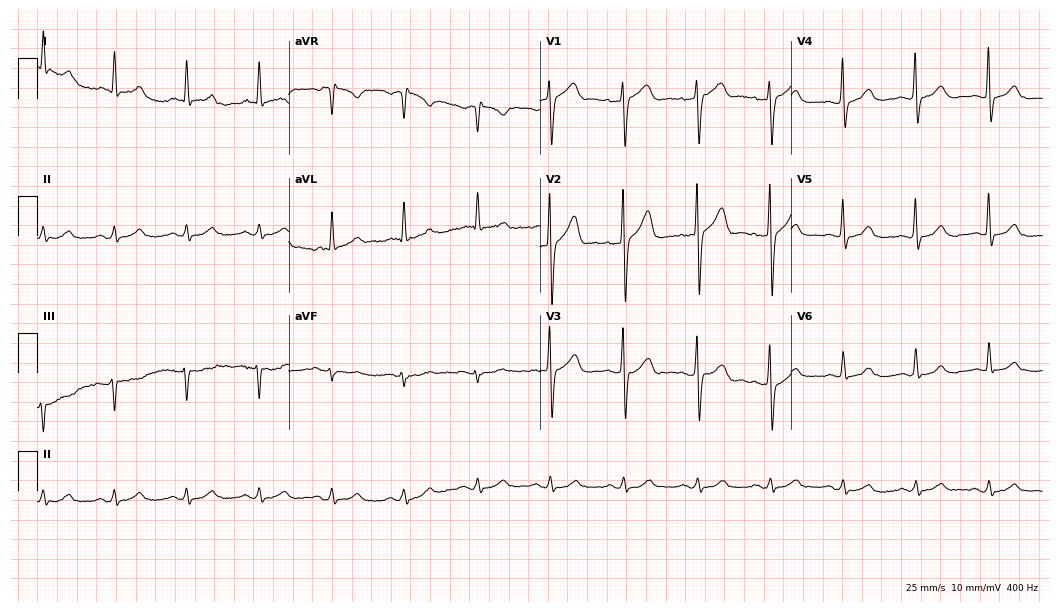
12-lead ECG from a man, 67 years old (10.2-second recording at 400 Hz). No first-degree AV block, right bundle branch block, left bundle branch block, sinus bradycardia, atrial fibrillation or sinus tachycardia recorded for this tracing.